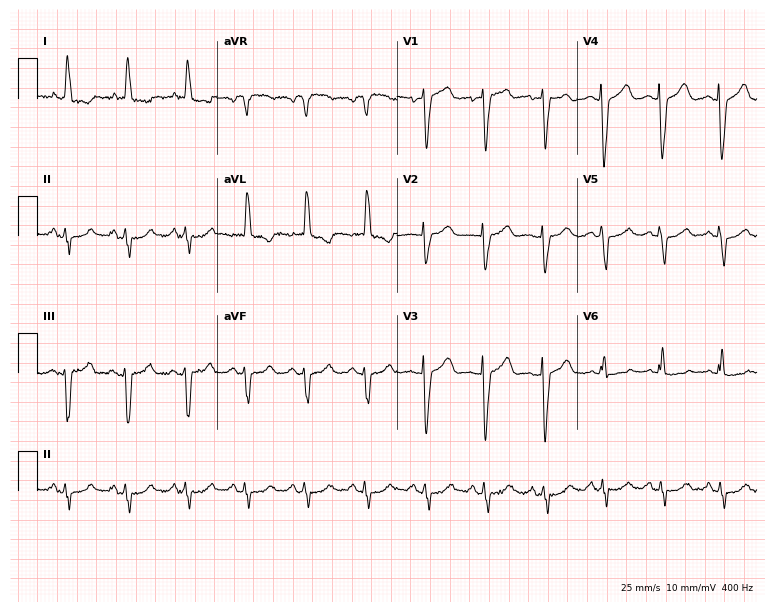
12-lead ECG from an 84-year-old female. Screened for six findings — first-degree AV block, right bundle branch block, left bundle branch block, sinus bradycardia, atrial fibrillation, sinus tachycardia — none is recorded. Other findings, if any, are not listed.